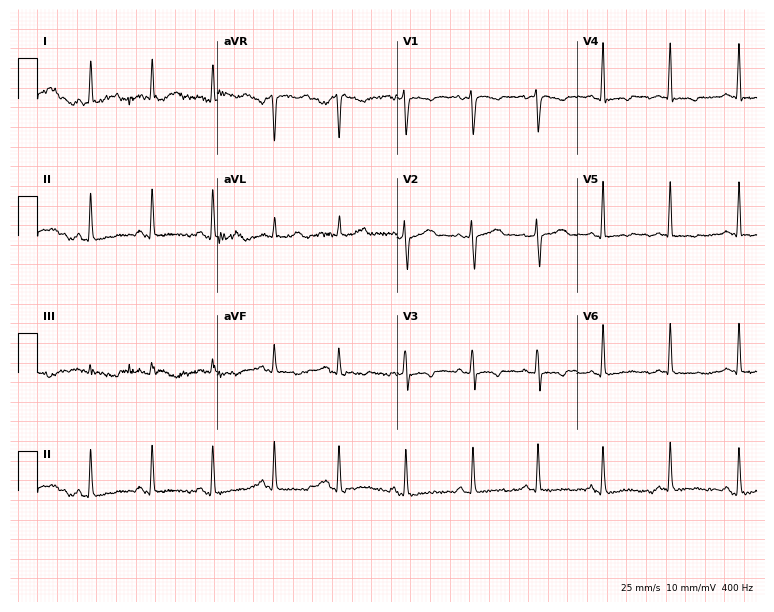
12-lead ECG from a female, 38 years old. No first-degree AV block, right bundle branch block (RBBB), left bundle branch block (LBBB), sinus bradycardia, atrial fibrillation (AF) or sinus tachycardia recorded for this tracing.